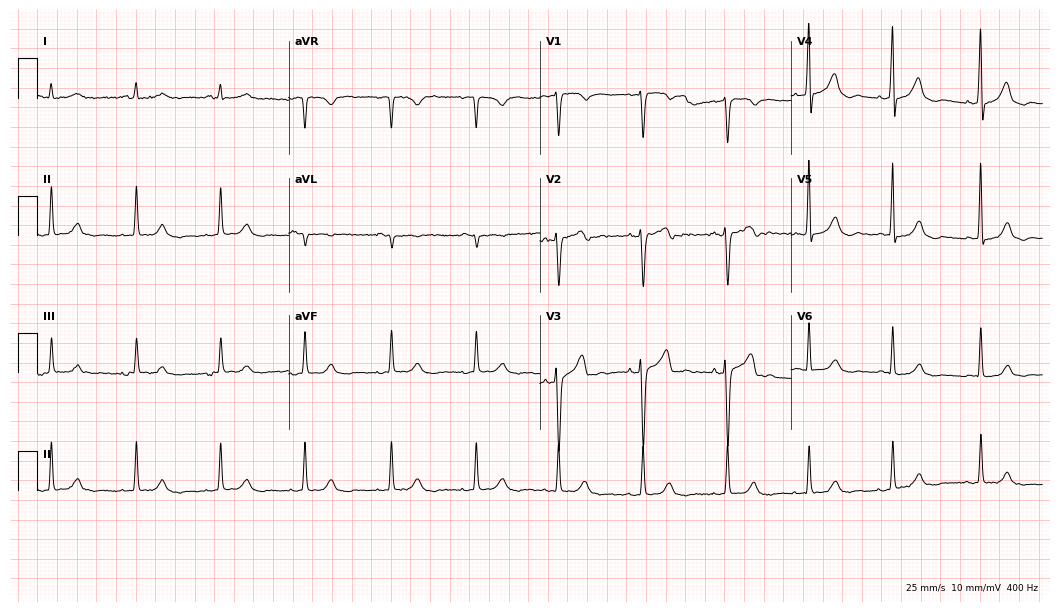
12-lead ECG from a male, 52 years old. Labelled as a normal ECG.